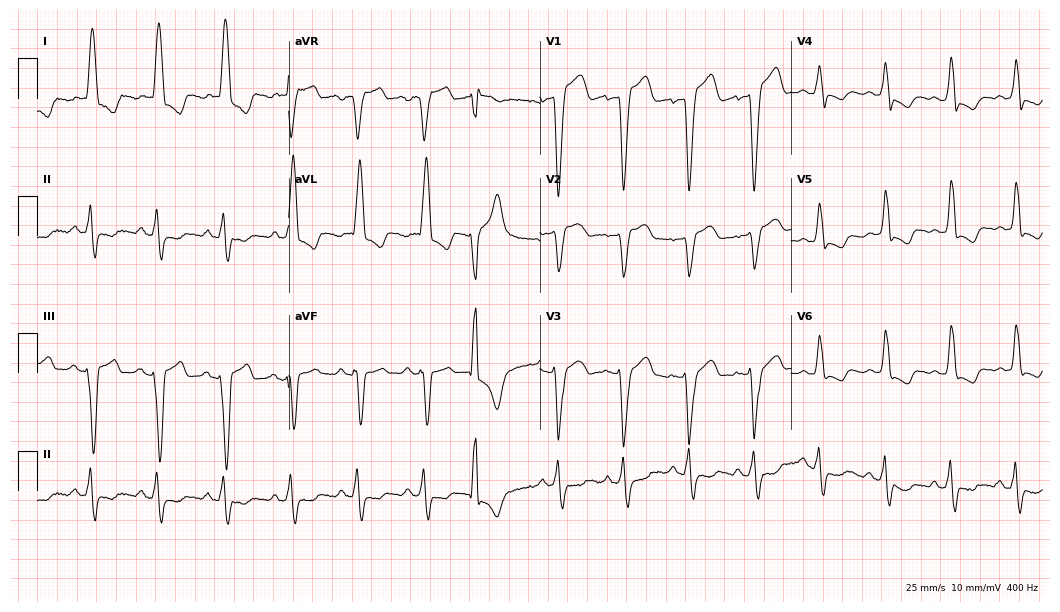
ECG — an 81-year-old woman. Findings include left bundle branch block (LBBB).